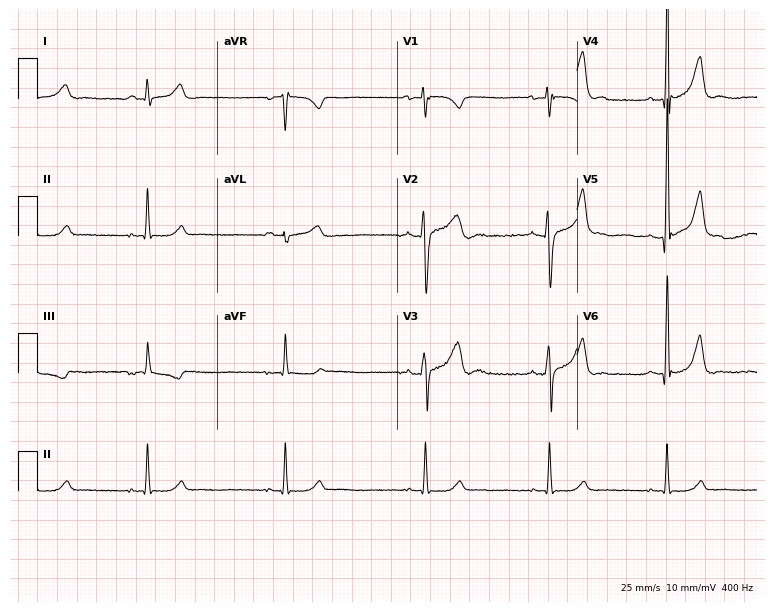
ECG — a 31-year-old male. Labelled as a normal ECG.